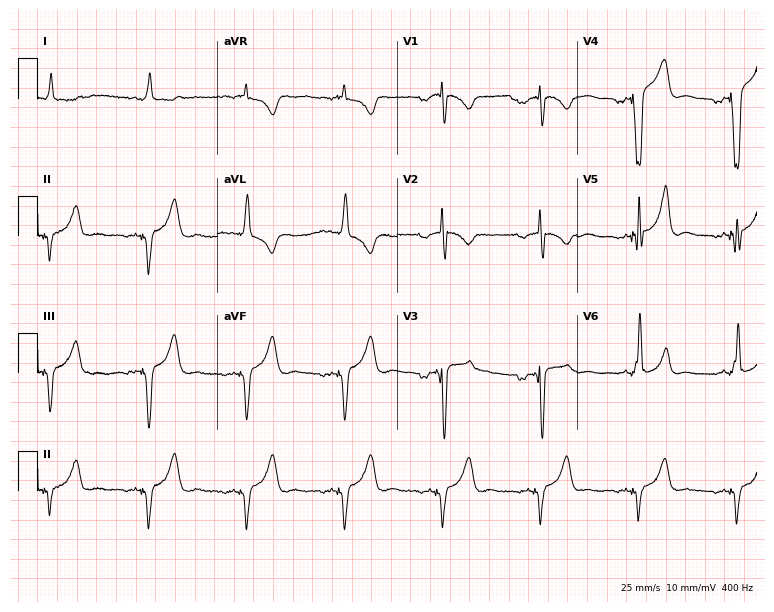
12-lead ECG (7.3-second recording at 400 Hz) from a man, 69 years old. Screened for six findings — first-degree AV block, right bundle branch block, left bundle branch block, sinus bradycardia, atrial fibrillation, sinus tachycardia — none is recorded. Only these six findings were labelled.